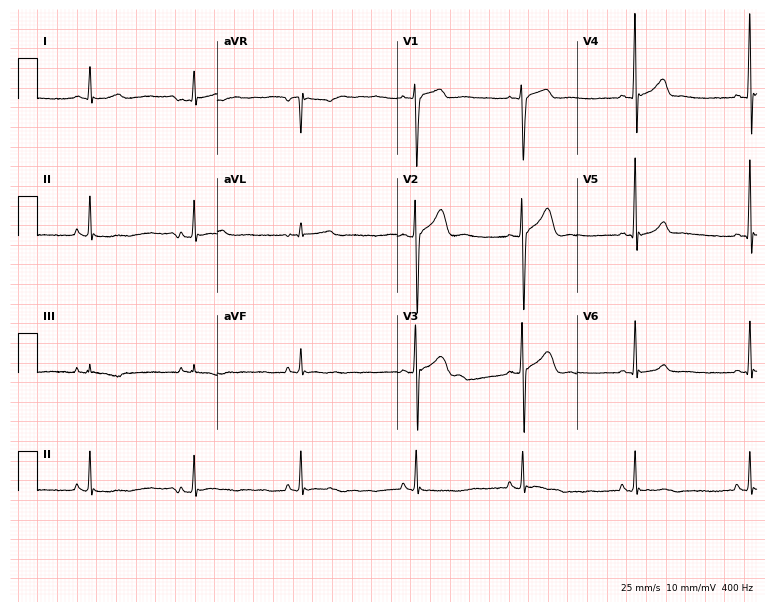
ECG — a male, 17 years old. Labelled as a normal ECG.